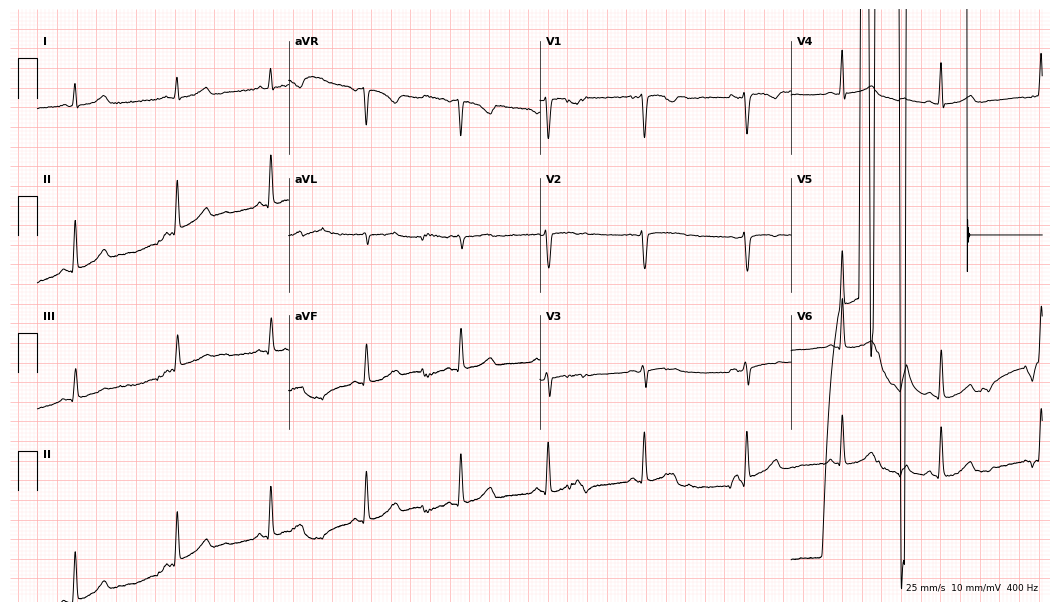
ECG — a 36-year-old female patient. Screened for six findings — first-degree AV block, right bundle branch block, left bundle branch block, sinus bradycardia, atrial fibrillation, sinus tachycardia — none is recorded.